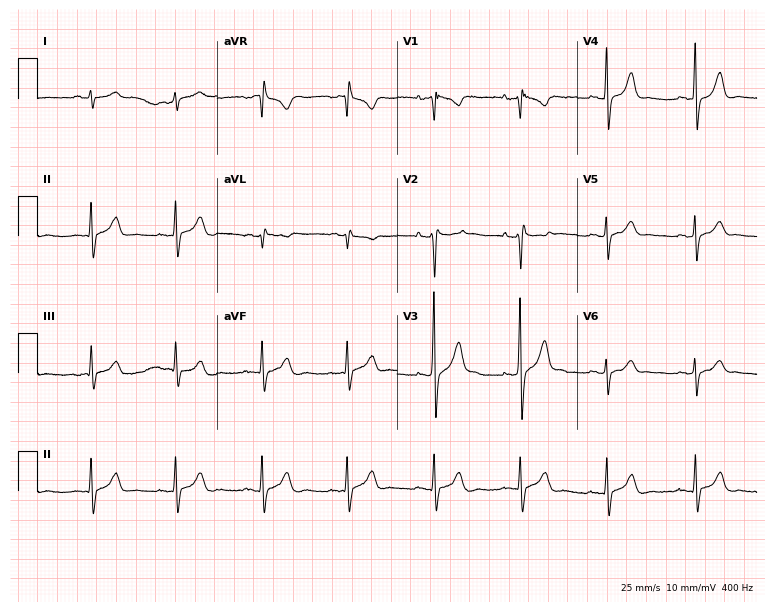
Resting 12-lead electrocardiogram. Patient: a male, 34 years old. None of these six findings is recorded: first-degree AV block, right bundle branch block (RBBB), left bundle branch block (LBBB), sinus bradycardia, atrial fibrillation (AF), sinus tachycardia.